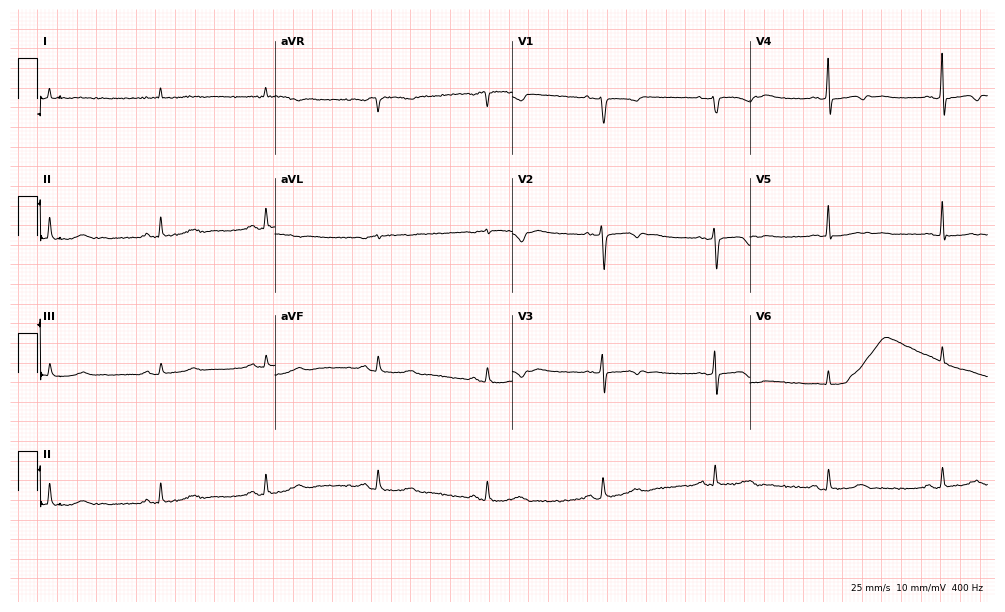
12-lead ECG (9.7-second recording at 400 Hz) from an 85-year-old female. Labelled as a normal ECG.